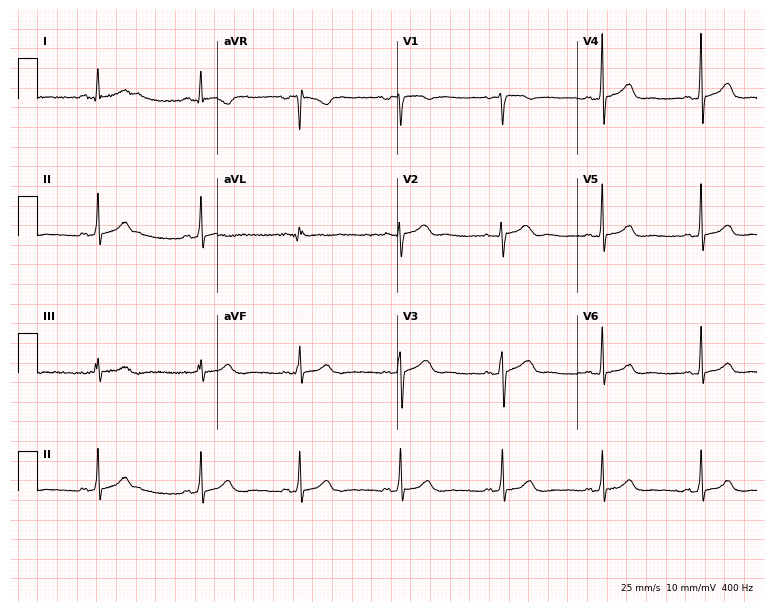
ECG — a 40-year-old woman. Screened for six findings — first-degree AV block, right bundle branch block, left bundle branch block, sinus bradycardia, atrial fibrillation, sinus tachycardia — none is recorded.